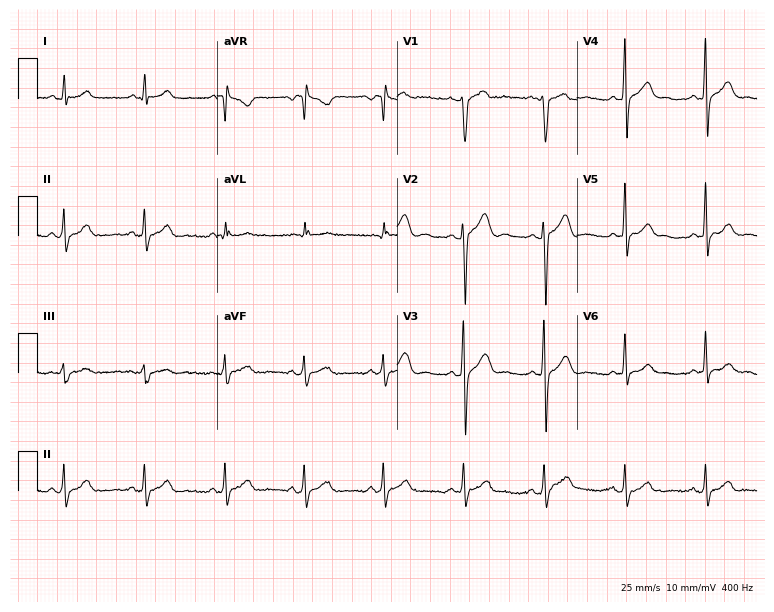
12-lead ECG from a 26-year-old male (7.3-second recording at 400 Hz). No first-degree AV block, right bundle branch block, left bundle branch block, sinus bradycardia, atrial fibrillation or sinus tachycardia recorded for this tracing.